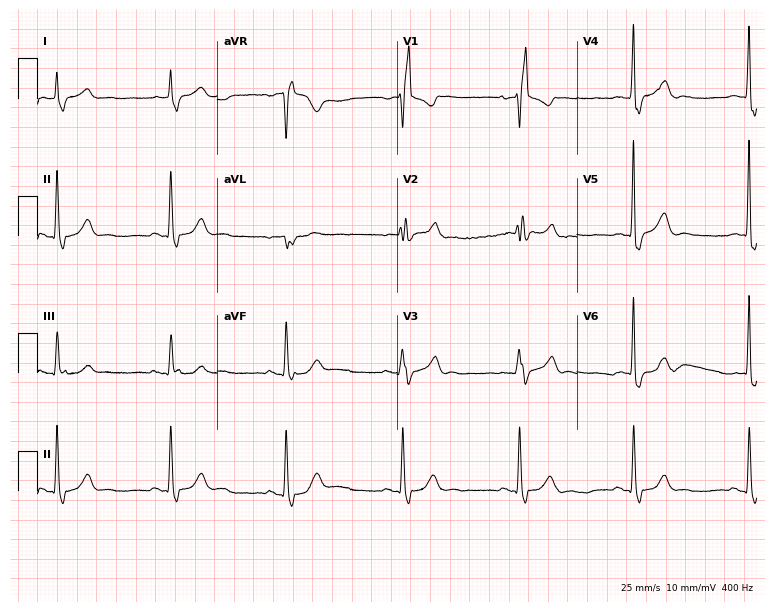
Electrocardiogram, a 74-year-old male patient. Interpretation includes right bundle branch block.